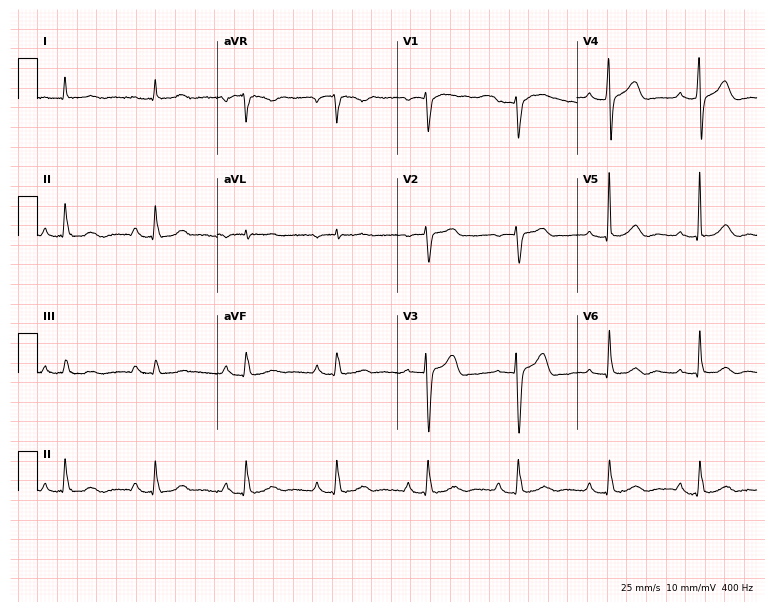
12-lead ECG from a male, 76 years old. Labelled as a normal ECG.